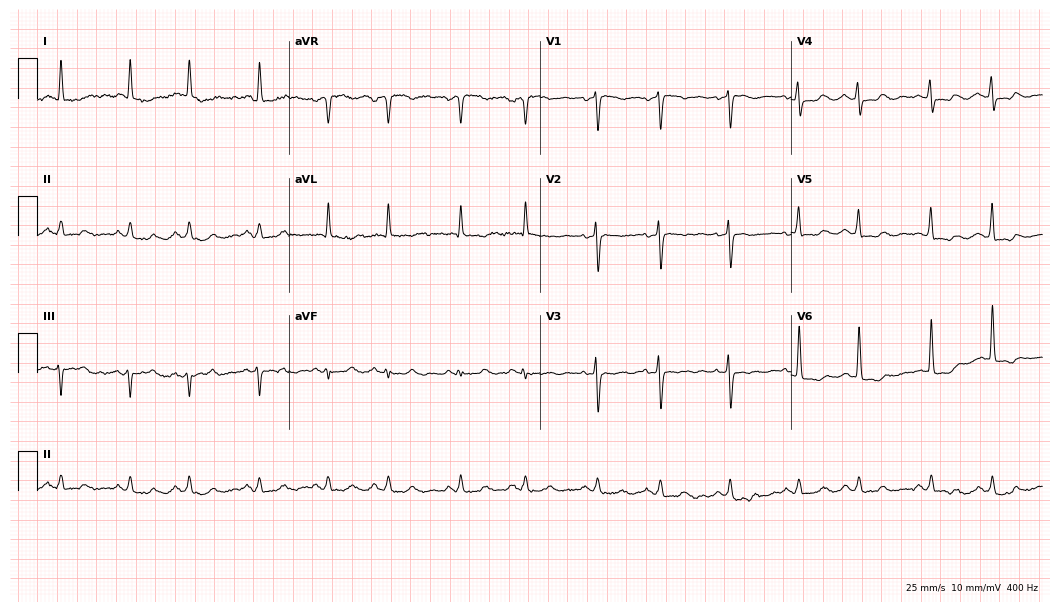
Standard 12-lead ECG recorded from a woman, 82 years old (10.2-second recording at 400 Hz). None of these six findings is recorded: first-degree AV block, right bundle branch block (RBBB), left bundle branch block (LBBB), sinus bradycardia, atrial fibrillation (AF), sinus tachycardia.